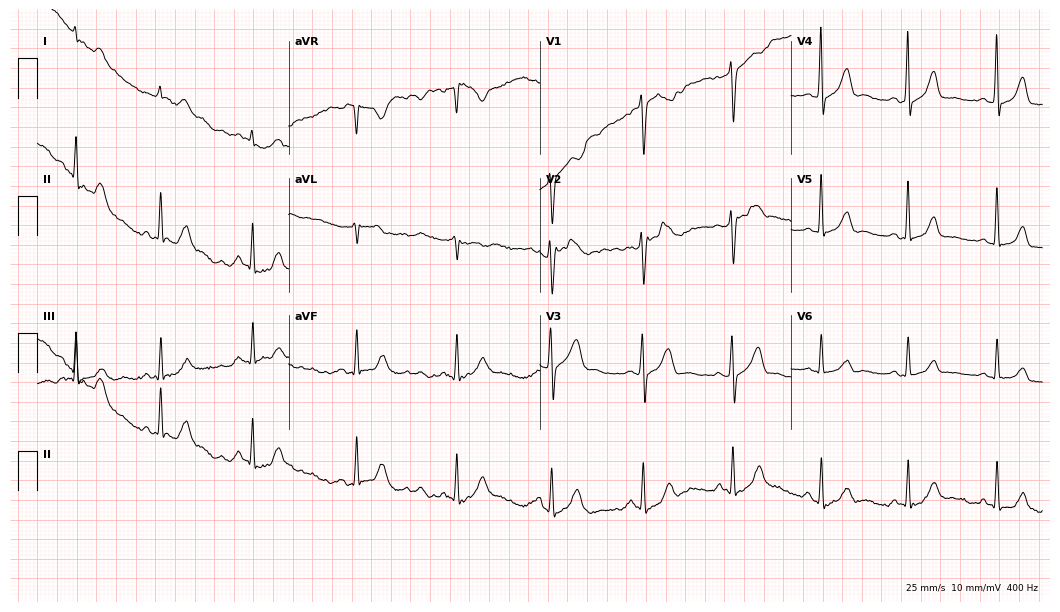
Electrocardiogram, a 54-year-old man. Of the six screened findings (first-degree AV block, right bundle branch block, left bundle branch block, sinus bradycardia, atrial fibrillation, sinus tachycardia), none is recorded. Only these six findings were labelled.